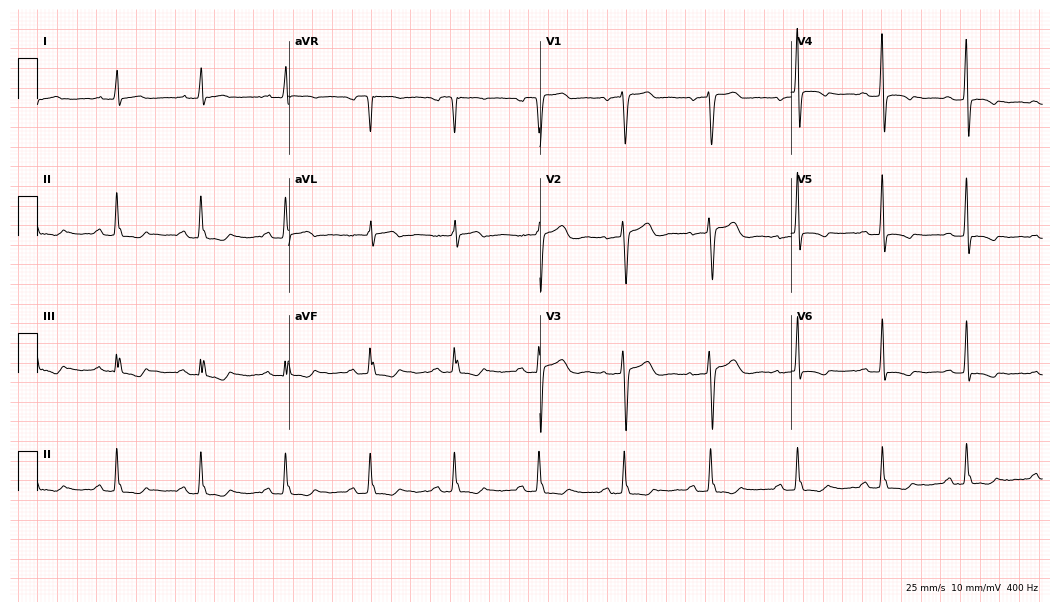
12-lead ECG from a woman, 53 years old. Screened for six findings — first-degree AV block, right bundle branch block, left bundle branch block, sinus bradycardia, atrial fibrillation, sinus tachycardia — none is recorded.